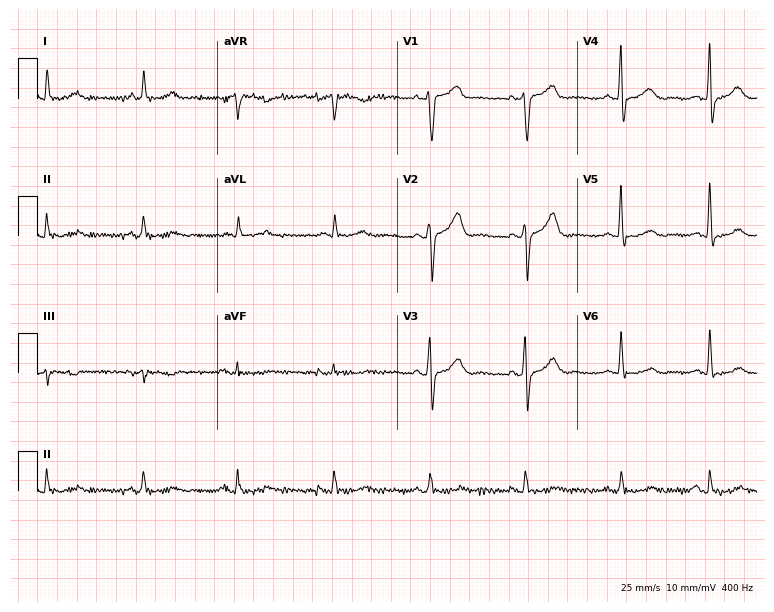
Standard 12-lead ECG recorded from a female patient, 63 years old (7.3-second recording at 400 Hz). None of these six findings is recorded: first-degree AV block, right bundle branch block (RBBB), left bundle branch block (LBBB), sinus bradycardia, atrial fibrillation (AF), sinus tachycardia.